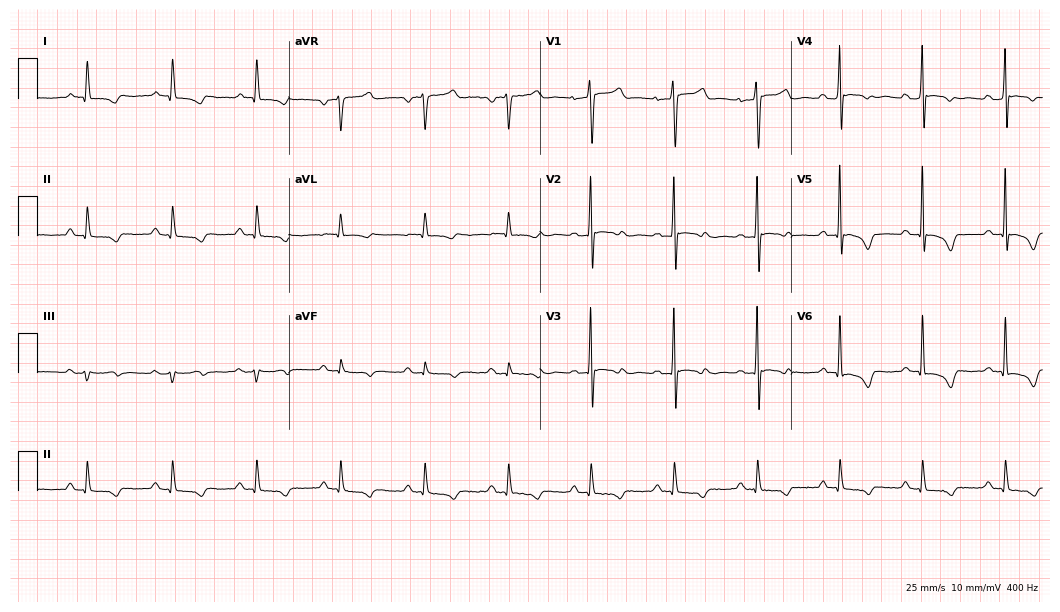
Standard 12-lead ECG recorded from a man, 58 years old (10.2-second recording at 400 Hz). None of these six findings is recorded: first-degree AV block, right bundle branch block, left bundle branch block, sinus bradycardia, atrial fibrillation, sinus tachycardia. Findings outside these six are not listed.